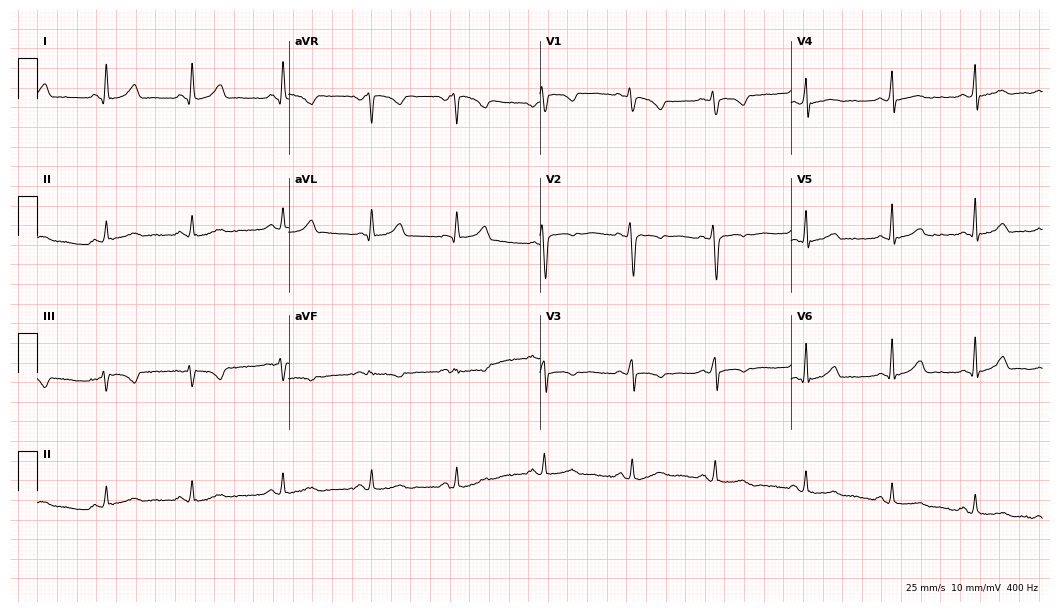
ECG (10.2-second recording at 400 Hz) — a female patient, 23 years old. Labelled as a normal ECG.